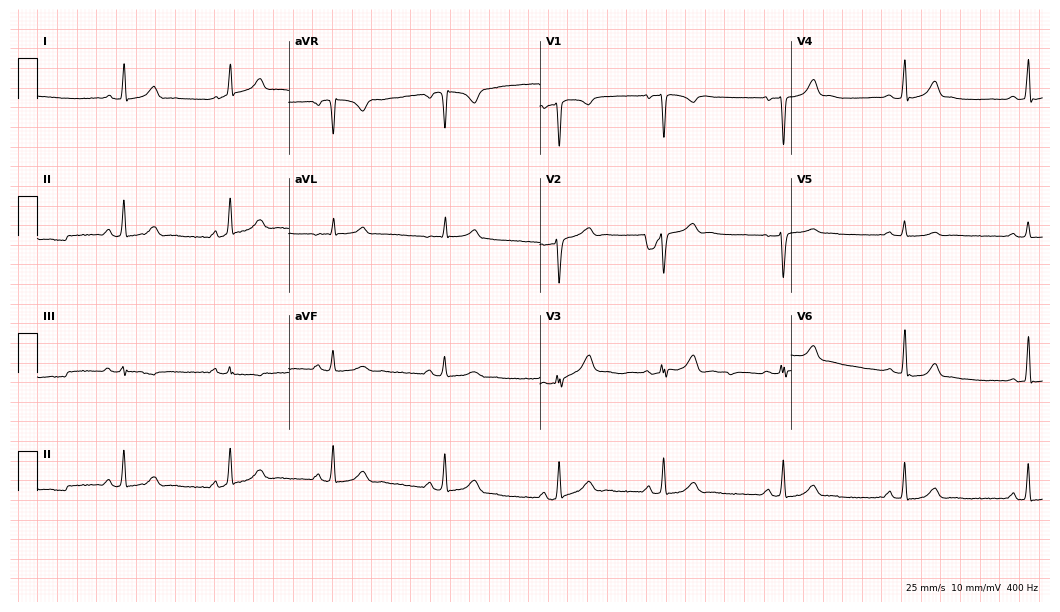
12-lead ECG (10.2-second recording at 400 Hz) from a female patient, 39 years old. Screened for six findings — first-degree AV block, right bundle branch block, left bundle branch block, sinus bradycardia, atrial fibrillation, sinus tachycardia — none is recorded.